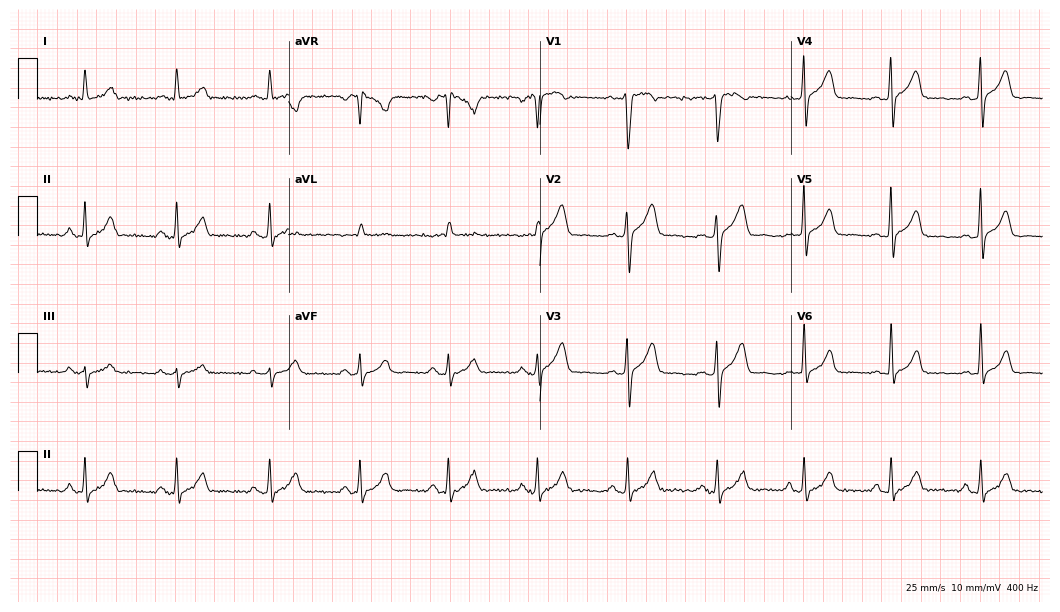
Electrocardiogram (10.2-second recording at 400 Hz), a man, 35 years old. Overall reading on record: normal ECG.